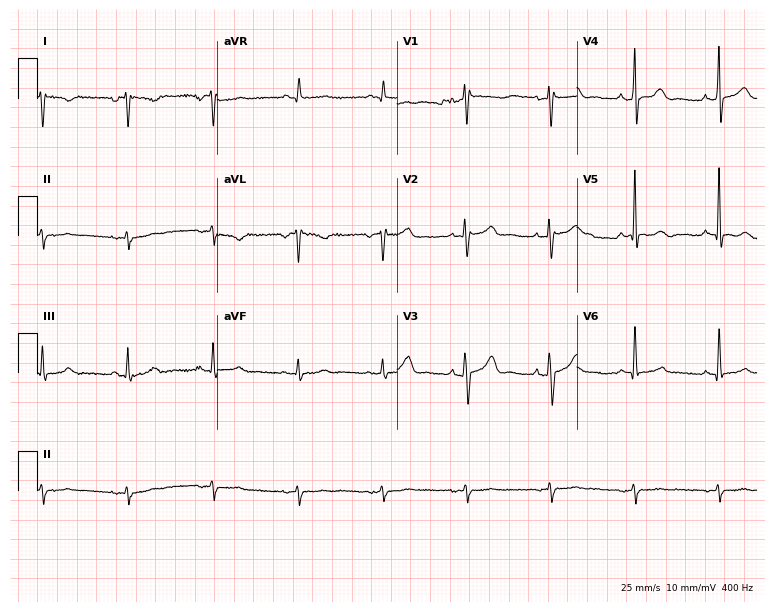
Electrocardiogram (7.3-second recording at 400 Hz), a male, 73 years old. Of the six screened findings (first-degree AV block, right bundle branch block, left bundle branch block, sinus bradycardia, atrial fibrillation, sinus tachycardia), none is recorded.